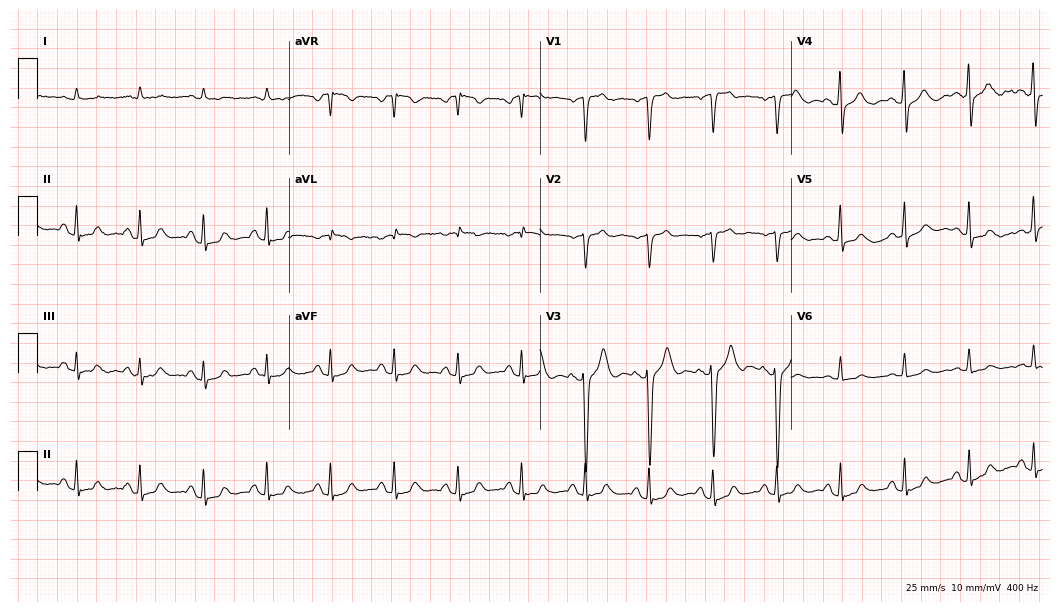
Standard 12-lead ECG recorded from a 78-year-old man. None of these six findings is recorded: first-degree AV block, right bundle branch block (RBBB), left bundle branch block (LBBB), sinus bradycardia, atrial fibrillation (AF), sinus tachycardia. Only these six findings were labelled.